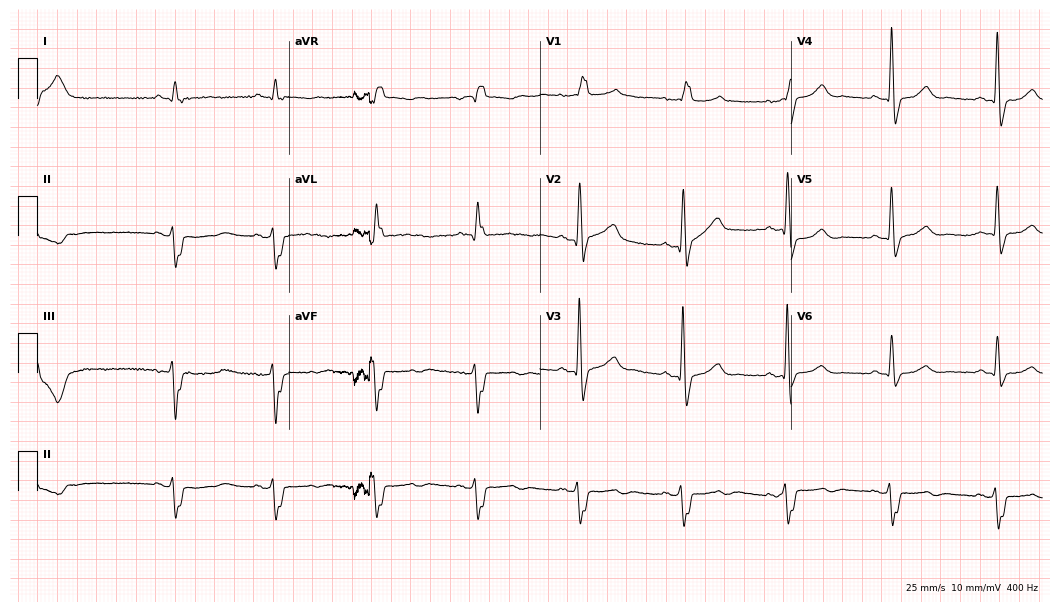
Electrocardiogram (10.2-second recording at 400 Hz), a 38-year-old man. Interpretation includes right bundle branch block (RBBB).